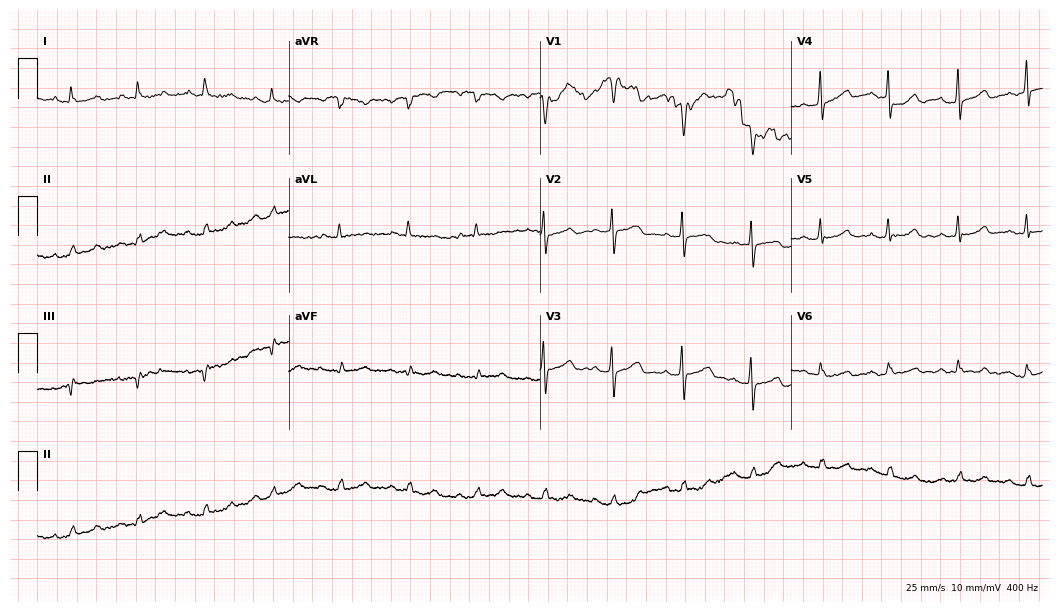
Electrocardiogram (10.2-second recording at 400 Hz), an 84-year-old male. Overall reading on record: normal ECG.